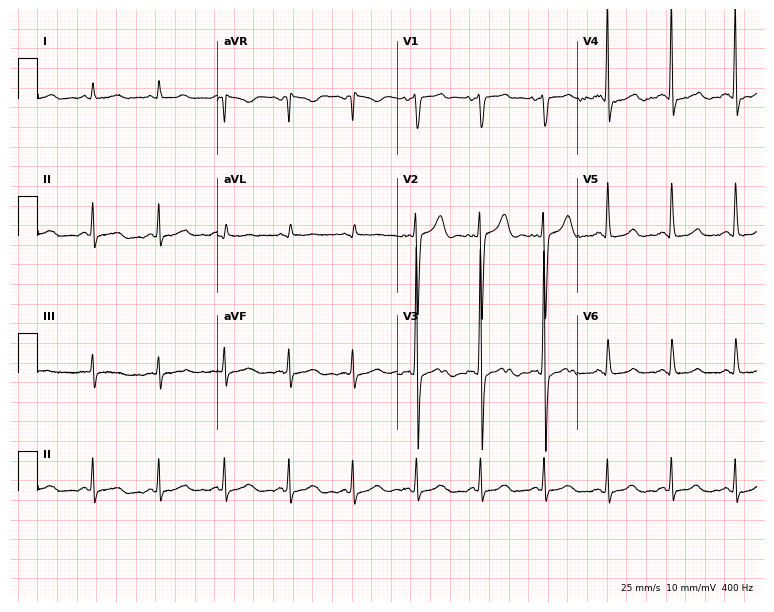
Standard 12-lead ECG recorded from a 54-year-old male patient. Read as a normal ECG.